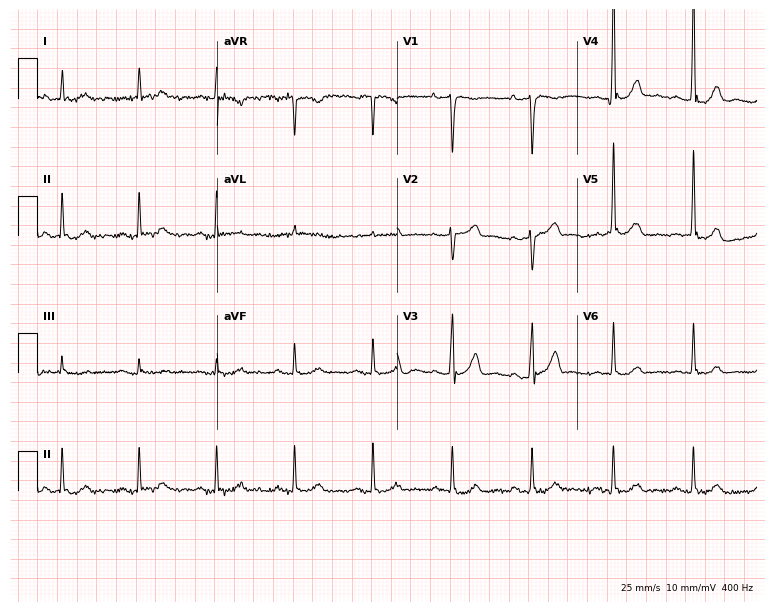
12-lead ECG from a male patient, 70 years old. Labelled as a normal ECG.